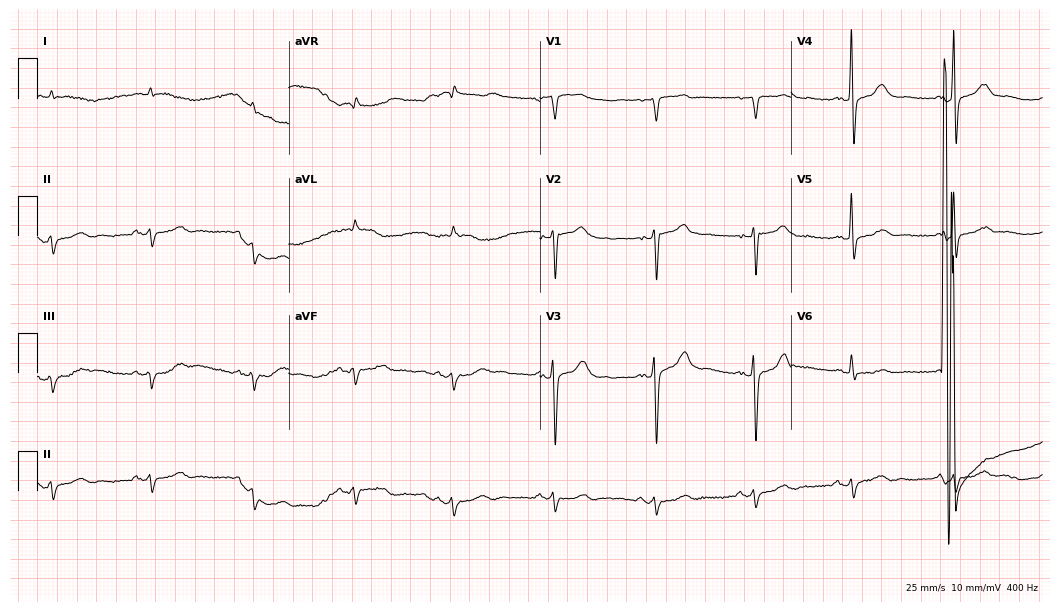
12-lead ECG (10.2-second recording at 400 Hz) from a male, 82 years old. Screened for six findings — first-degree AV block, right bundle branch block (RBBB), left bundle branch block (LBBB), sinus bradycardia, atrial fibrillation (AF), sinus tachycardia — none is recorded.